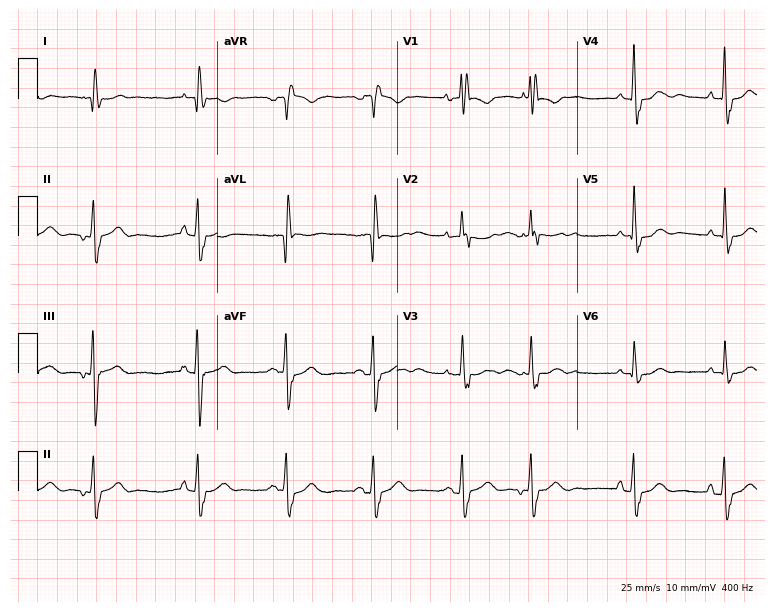
Resting 12-lead electrocardiogram. Patient: a woman, 71 years old. The tracing shows right bundle branch block.